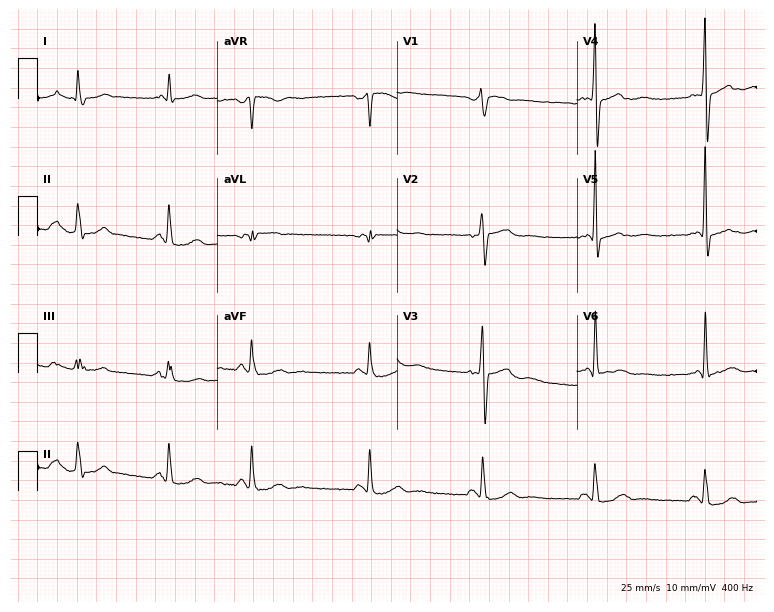
Resting 12-lead electrocardiogram (7.3-second recording at 400 Hz). Patient: a 75-year-old male. None of these six findings is recorded: first-degree AV block, right bundle branch block, left bundle branch block, sinus bradycardia, atrial fibrillation, sinus tachycardia. Only these six findings were labelled.